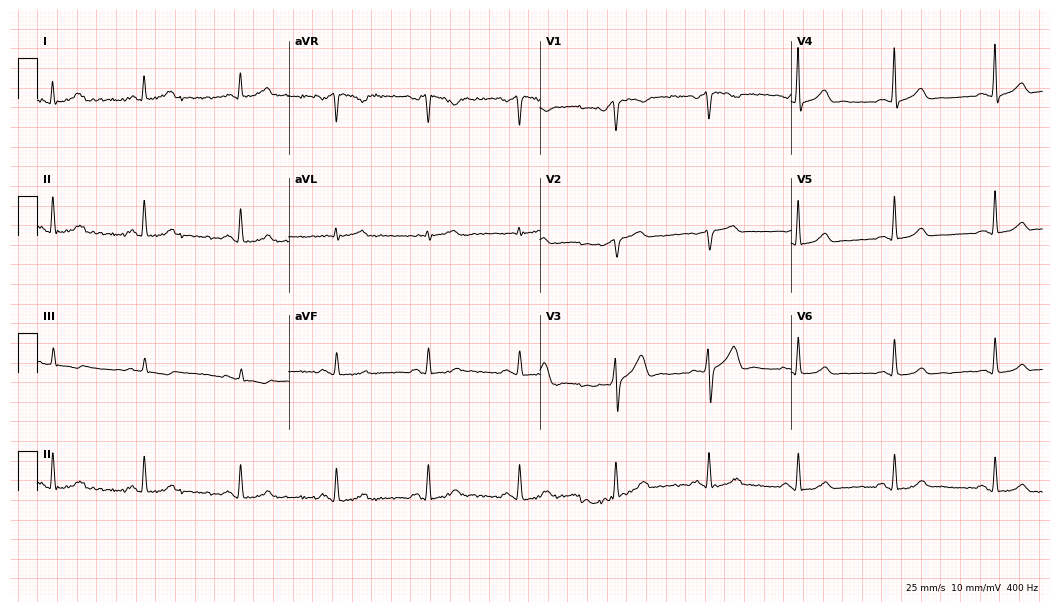
ECG — a male patient, 47 years old. Screened for six findings — first-degree AV block, right bundle branch block (RBBB), left bundle branch block (LBBB), sinus bradycardia, atrial fibrillation (AF), sinus tachycardia — none is recorded.